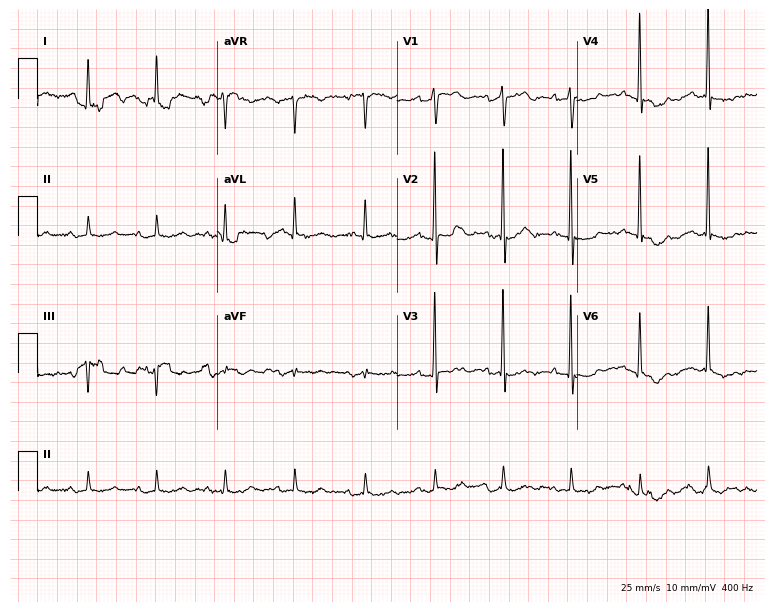
Resting 12-lead electrocardiogram. Patient: an 83-year-old male. Read as a normal ECG.